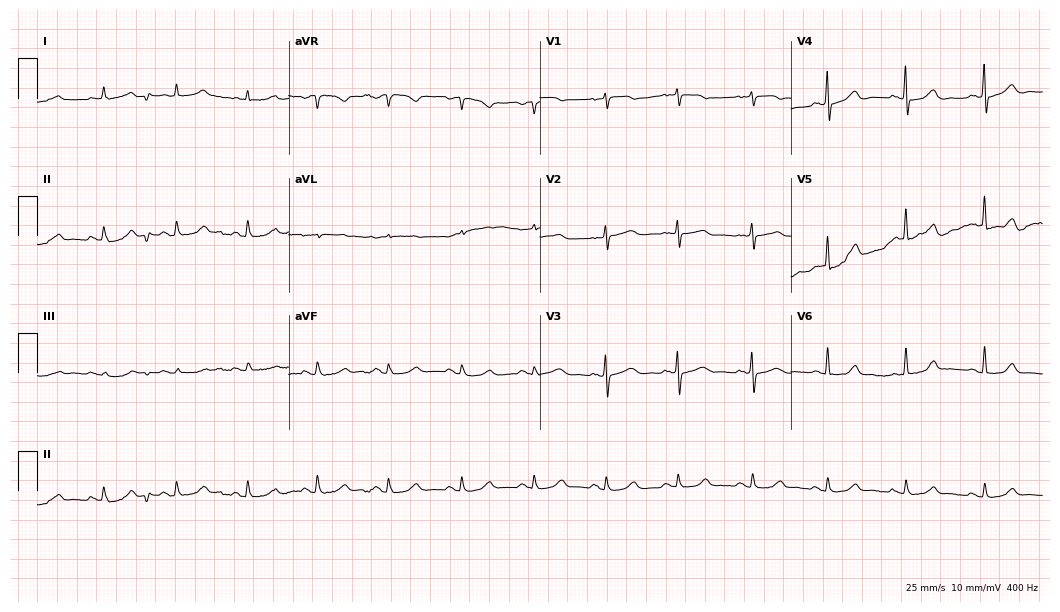
12-lead ECG from a female patient, 62 years old. Screened for six findings — first-degree AV block, right bundle branch block, left bundle branch block, sinus bradycardia, atrial fibrillation, sinus tachycardia — none is recorded.